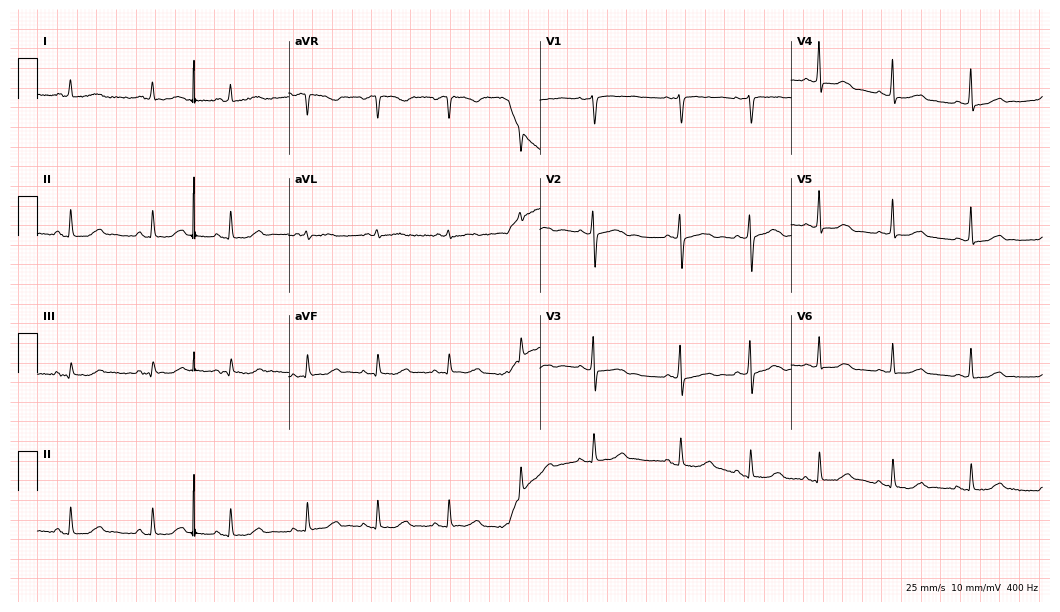
Resting 12-lead electrocardiogram. Patient: a woman, 84 years old. Read as a normal ECG.